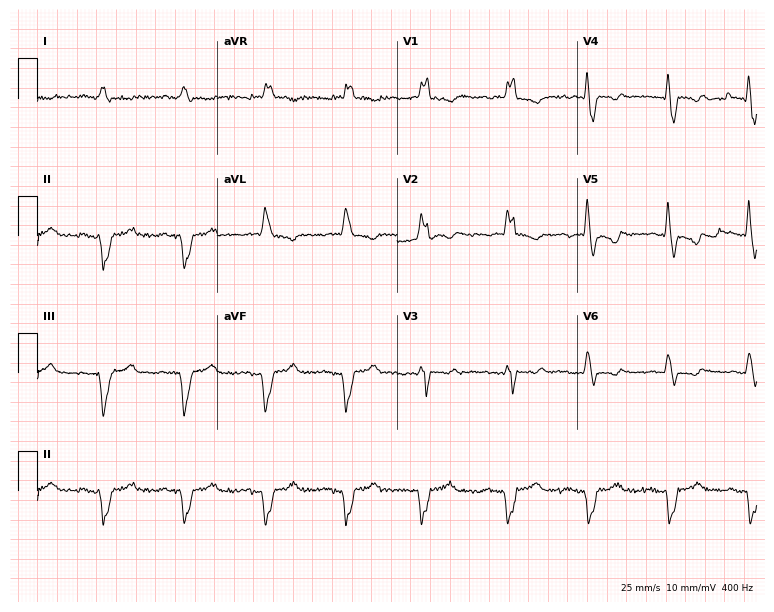
Electrocardiogram, a male patient, 59 years old. Interpretation includes right bundle branch block.